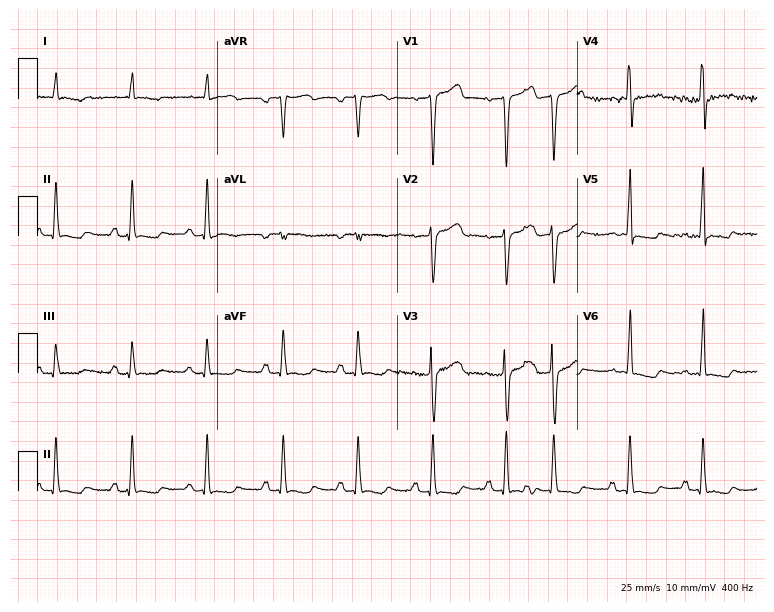
12-lead ECG from a man, 84 years old. No first-degree AV block, right bundle branch block (RBBB), left bundle branch block (LBBB), sinus bradycardia, atrial fibrillation (AF) or sinus tachycardia recorded for this tracing. Findings outside these six are not listed.